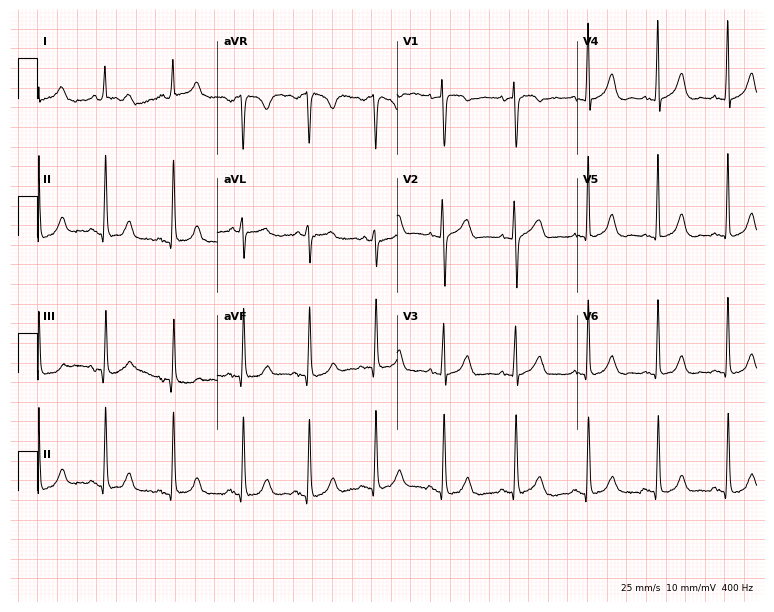
Standard 12-lead ECG recorded from a 41-year-old female (7.3-second recording at 400 Hz). Read as a normal ECG.